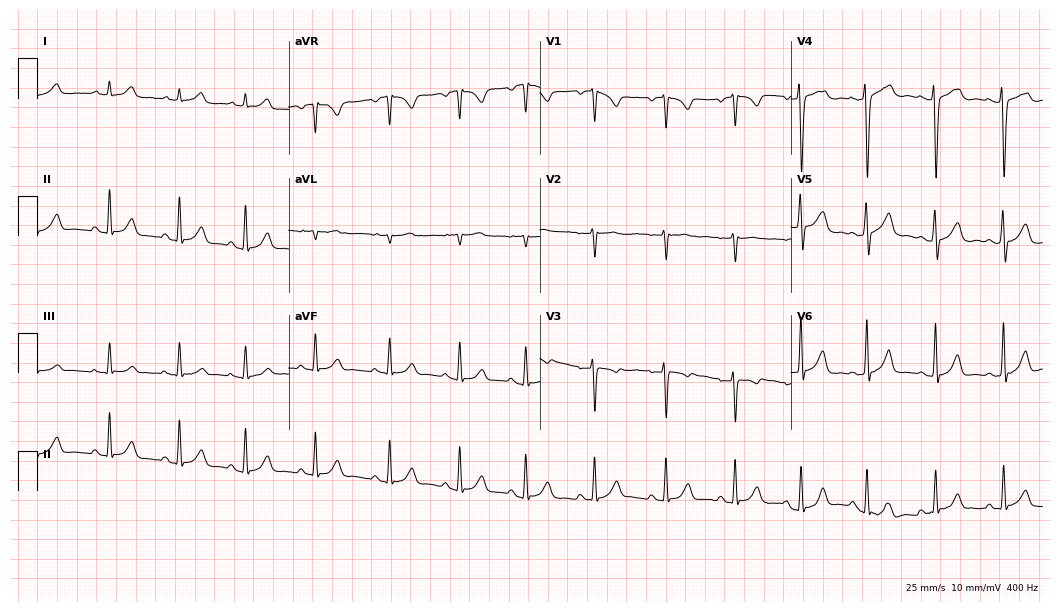
Electrocardiogram (10.2-second recording at 400 Hz), a woman, 32 years old. Overall reading on record: normal ECG.